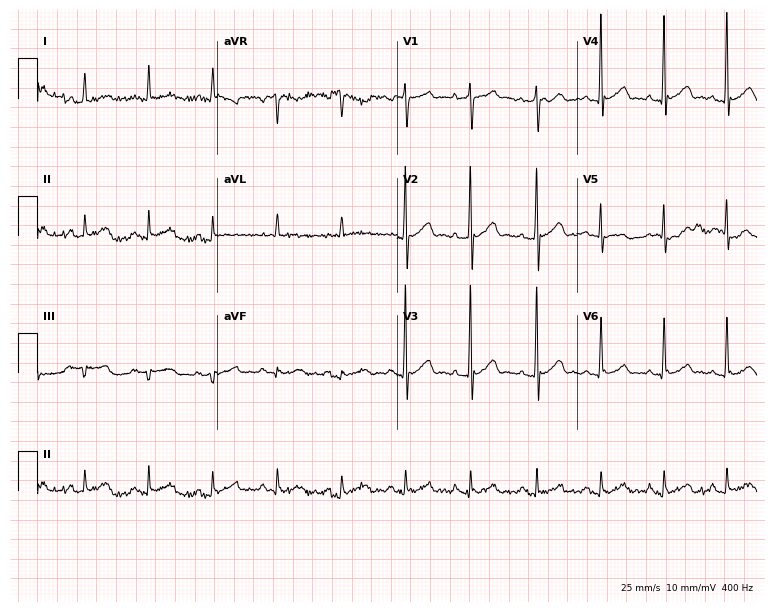
12-lead ECG from a 64-year-old male patient. Recorded interpretation: within normal limits.